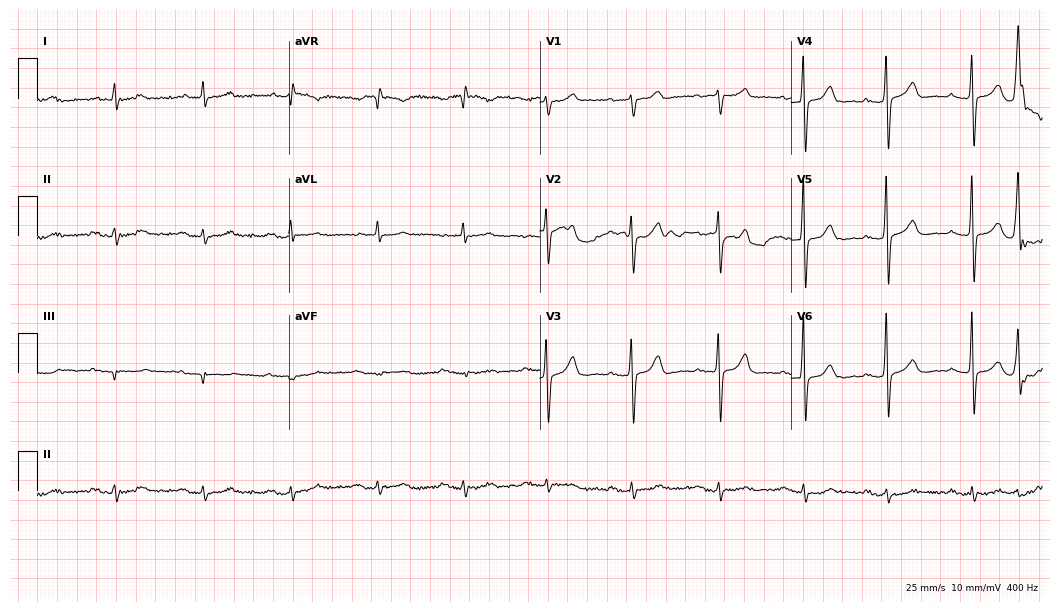
Resting 12-lead electrocardiogram. Patient: a 77-year-old male. The tracing shows first-degree AV block.